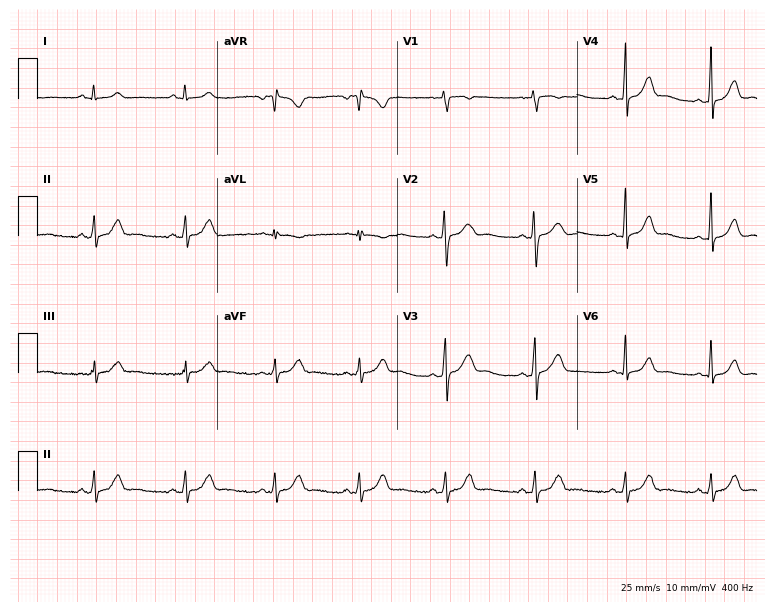
Standard 12-lead ECG recorded from a woman, 21 years old (7.3-second recording at 400 Hz). Read as a normal ECG.